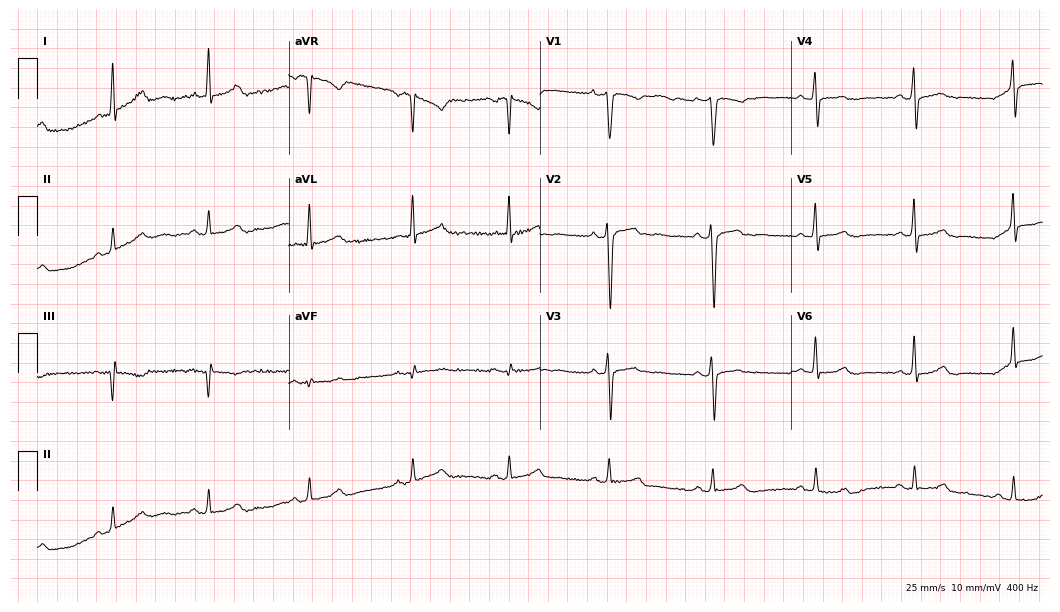
Standard 12-lead ECG recorded from a man, 30 years old. Read as a normal ECG.